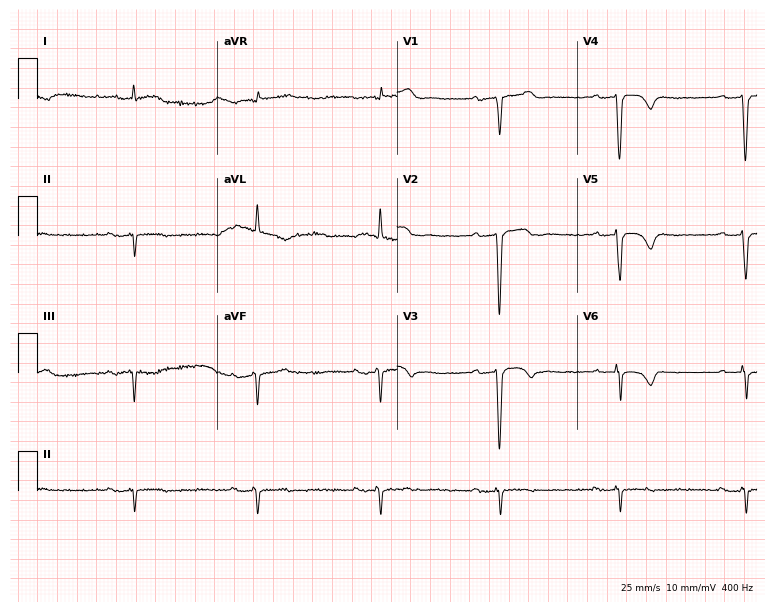
Standard 12-lead ECG recorded from a man, 80 years old (7.3-second recording at 400 Hz). None of these six findings is recorded: first-degree AV block, right bundle branch block, left bundle branch block, sinus bradycardia, atrial fibrillation, sinus tachycardia.